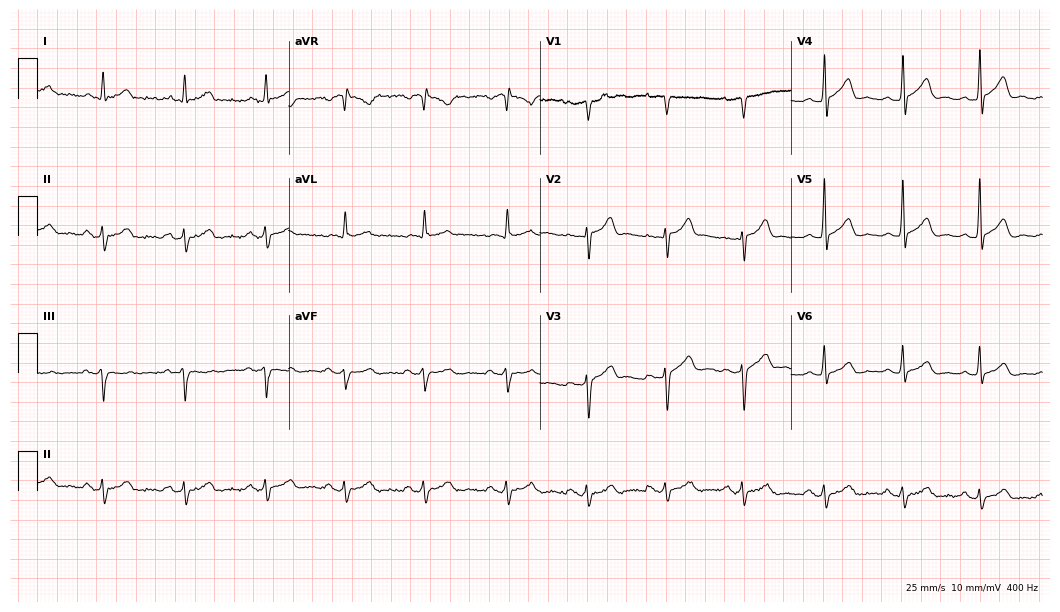
12-lead ECG (10.2-second recording at 400 Hz) from a 57-year-old male. Screened for six findings — first-degree AV block, right bundle branch block, left bundle branch block, sinus bradycardia, atrial fibrillation, sinus tachycardia — none is recorded.